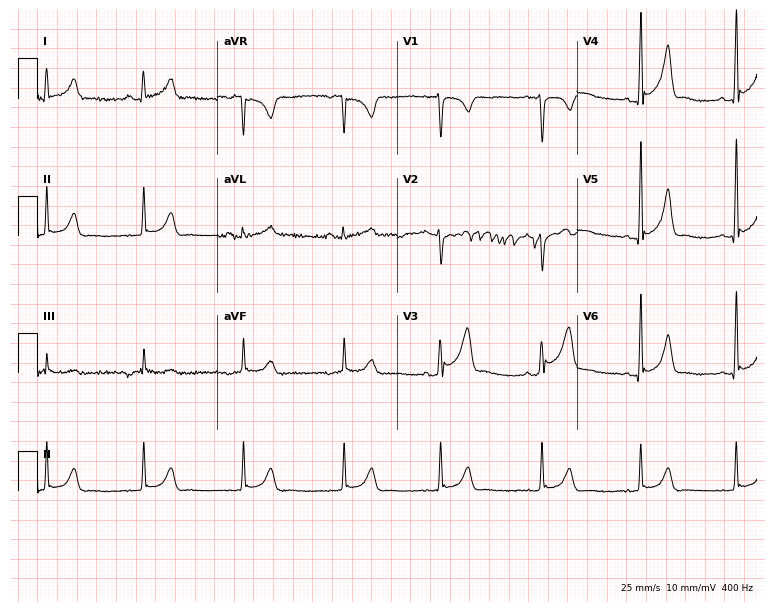
Standard 12-lead ECG recorded from a 22-year-old male (7.3-second recording at 400 Hz). None of these six findings is recorded: first-degree AV block, right bundle branch block (RBBB), left bundle branch block (LBBB), sinus bradycardia, atrial fibrillation (AF), sinus tachycardia.